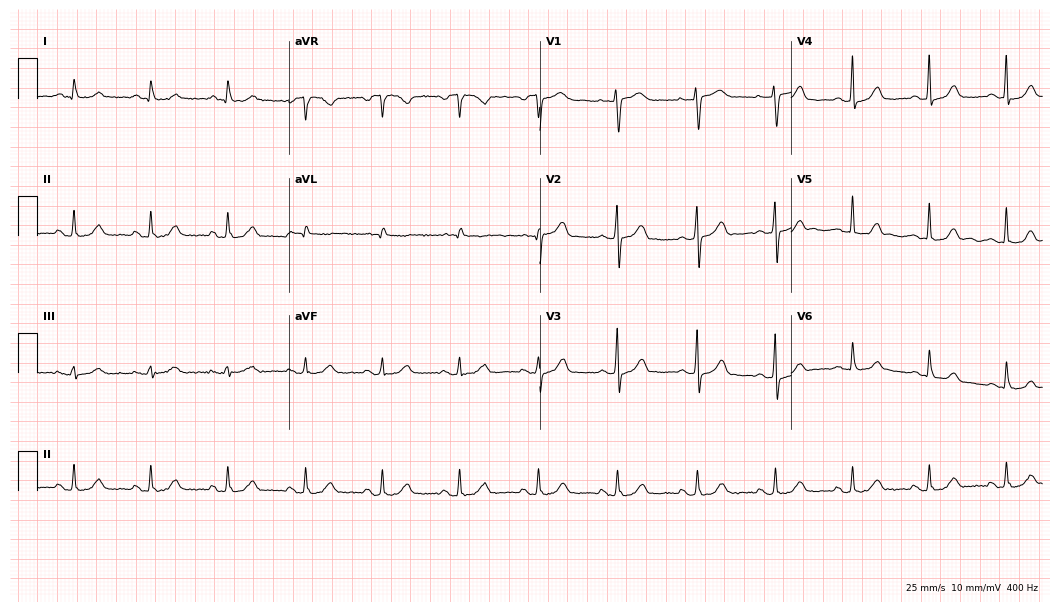
ECG — a 60-year-old female patient. Labelled as a normal ECG.